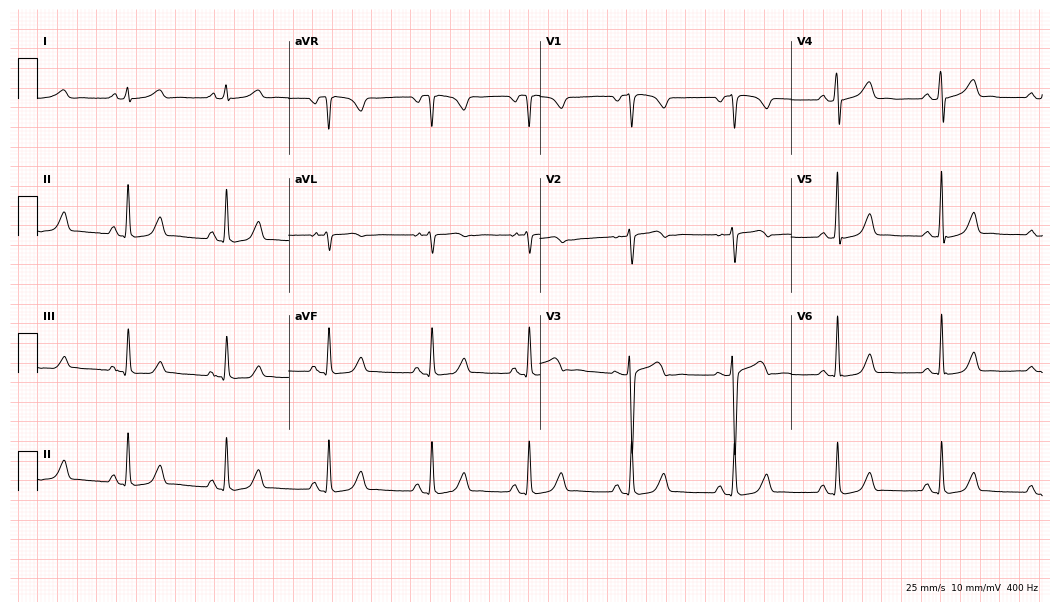
Resting 12-lead electrocardiogram (10.2-second recording at 400 Hz). Patient: a 48-year-old female. Read as a normal ECG.